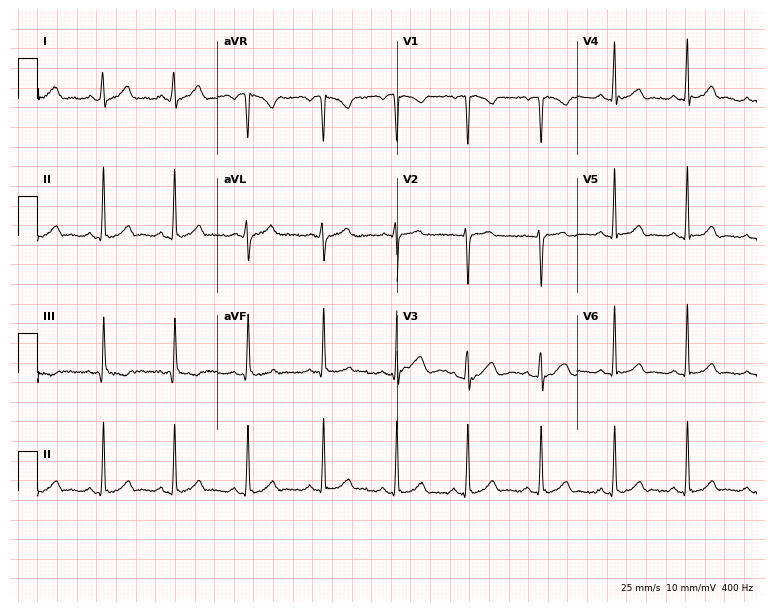
12-lead ECG (7.3-second recording at 400 Hz) from a woman, 26 years old. Labelled as a normal ECG.